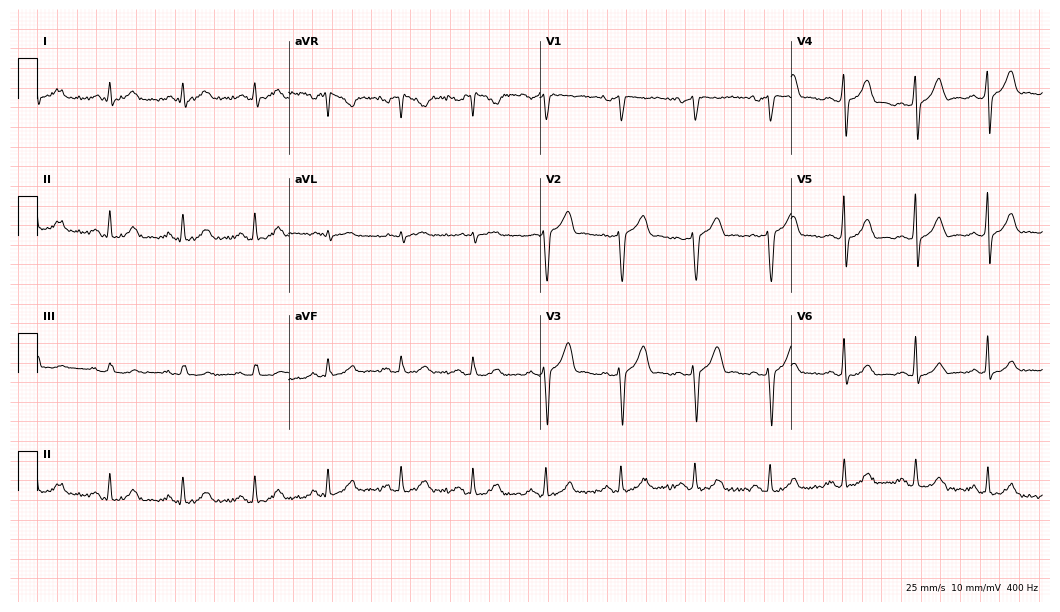
ECG — a man, 53 years old. Labelled as a normal ECG.